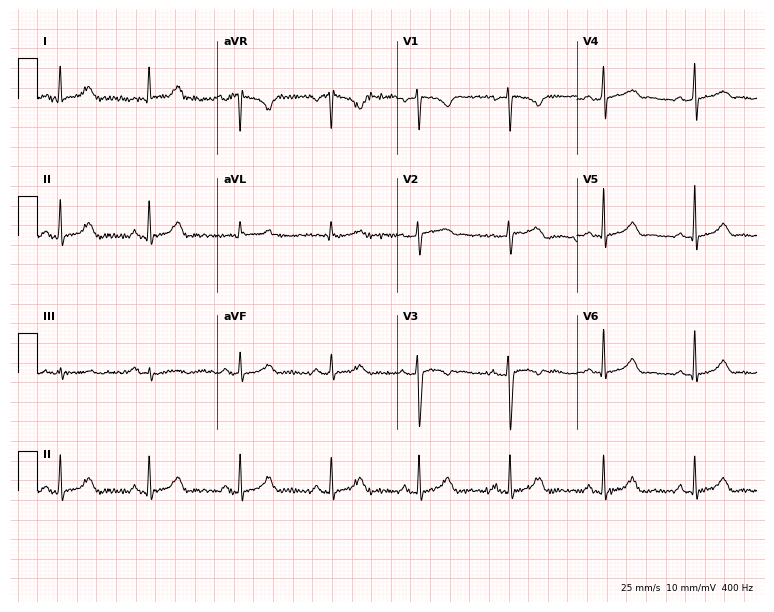
Electrocardiogram, a female patient, 36 years old. Overall reading on record: normal ECG.